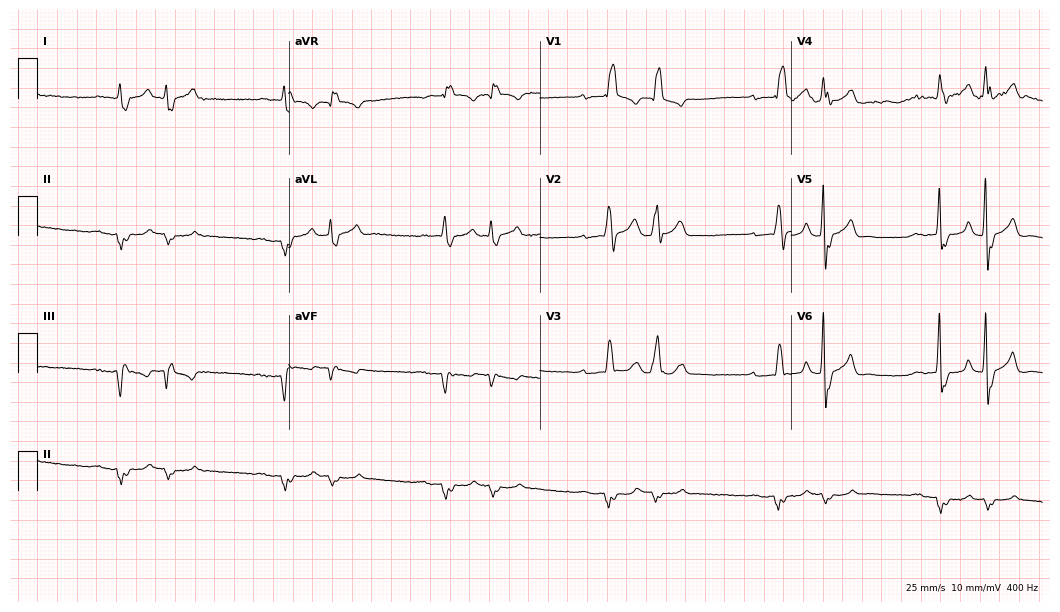
12-lead ECG (10.2-second recording at 400 Hz) from a 69-year-old female patient. Findings include first-degree AV block, right bundle branch block (RBBB).